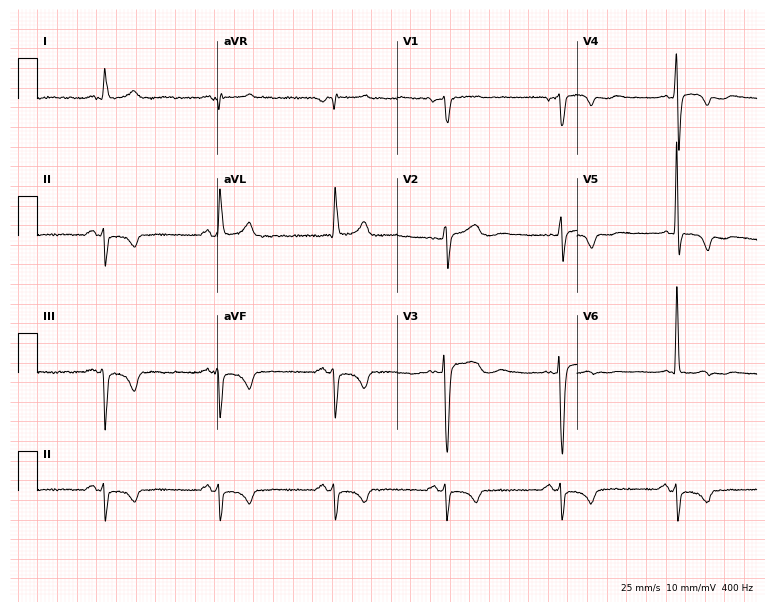
Standard 12-lead ECG recorded from a 74-year-old man (7.3-second recording at 400 Hz). None of these six findings is recorded: first-degree AV block, right bundle branch block (RBBB), left bundle branch block (LBBB), sinus bradycardia, atrial fibrillation (AF), sinus tachycardia. Other findings, if any, are not listed.